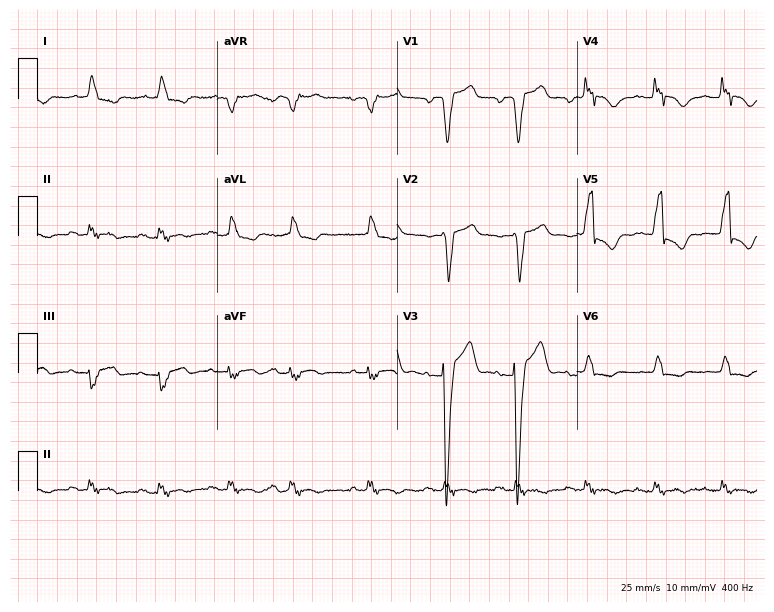
ECG (7.3-second recording at 400 Hz) — a female patient, 79 years old. Findings include left bundle branch block.